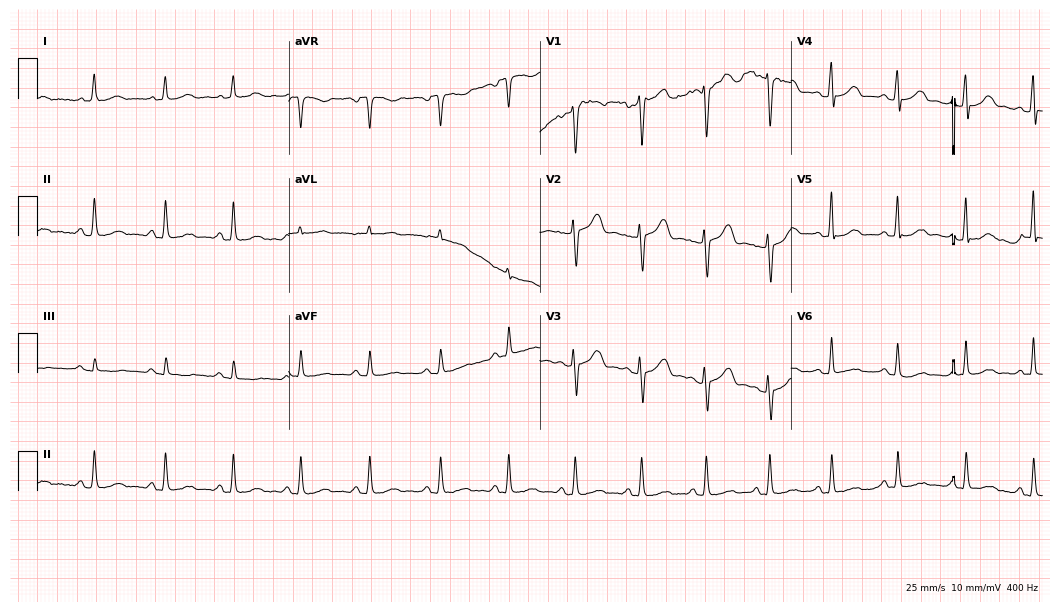
12-lead ECG (10.2-second recording at 400 Hz) from a 54-year-old female patient. Labelled as a normal ECG.